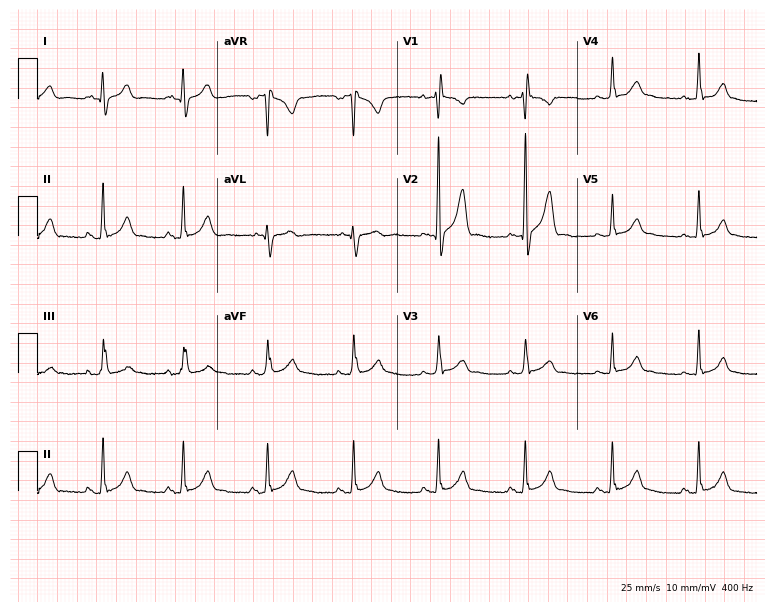
Resting 12-lead electrocardiogram. Patient: a male, 25 years old. None of these six findings is recorded: first-degree AV block, right bundle branch block, left bundle branch block, sinus bradycardia, atrial fibrillation, sinus tachycardia. Findings outside these six are not listed.